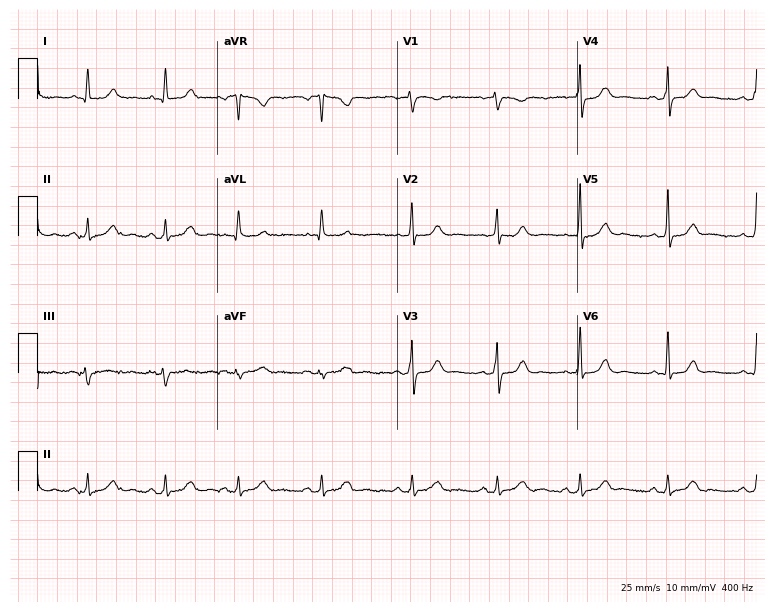
Resting 12-lead electrocardiogram. Patient: a man, 55 years old. Read as a normal ECG.